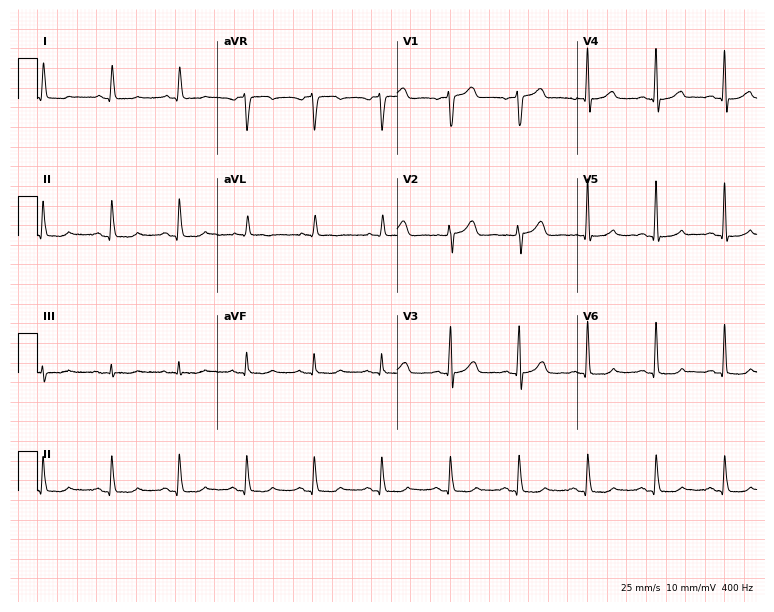
Resting 12-lead electrocardiogram. Patient: a 67-year-old male. None of these six findings is recorded: first-degree AV block, right bundle branch block, left bundle branch block, sinus bradycardia, atrial fibrillation, sinus tachycardia.